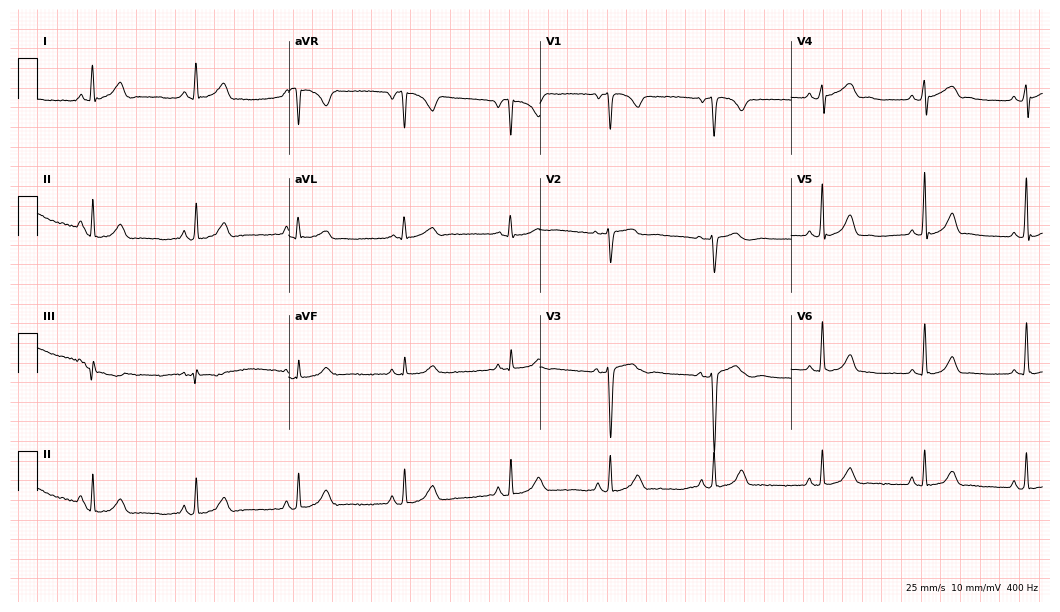
12-lead ECG from a 27-year-old female patient (10.2-second recording at 400 Hz). Recorded interpretation: within normal limits.